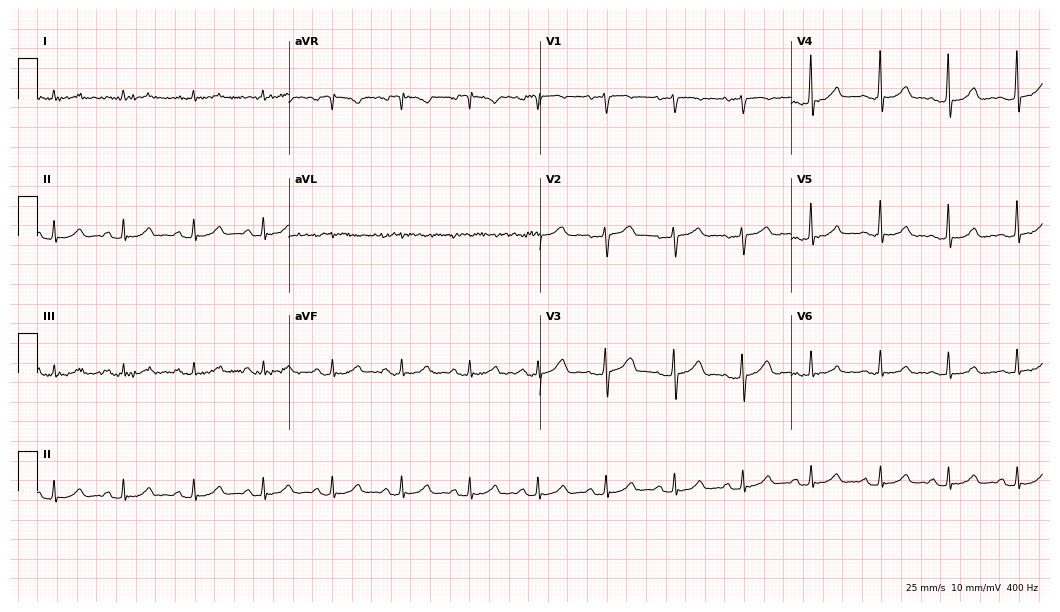
Electrocardiogram (10.2-second recording at 400 Hz), a 61-year-old female. Overall reading on record: normal ECG.